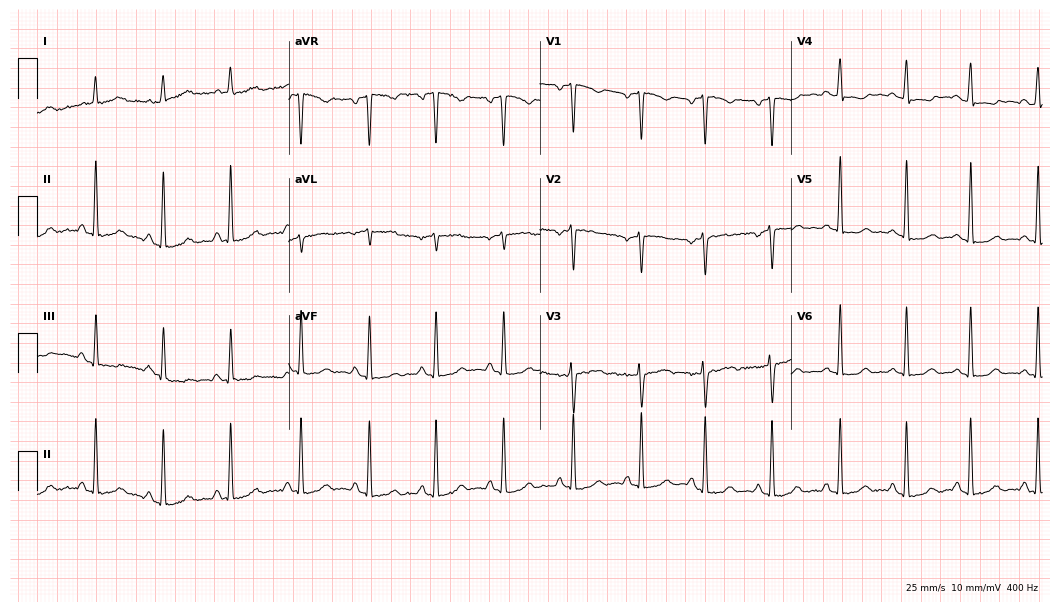
Electrocardiogram, a 30-year-old female. Of the six screened findings (first-degree AV block, right bundle branch block, left bundle branch block, sinus bradycardia, atrial fibrillation, sinus tachycardia), none is recorded.